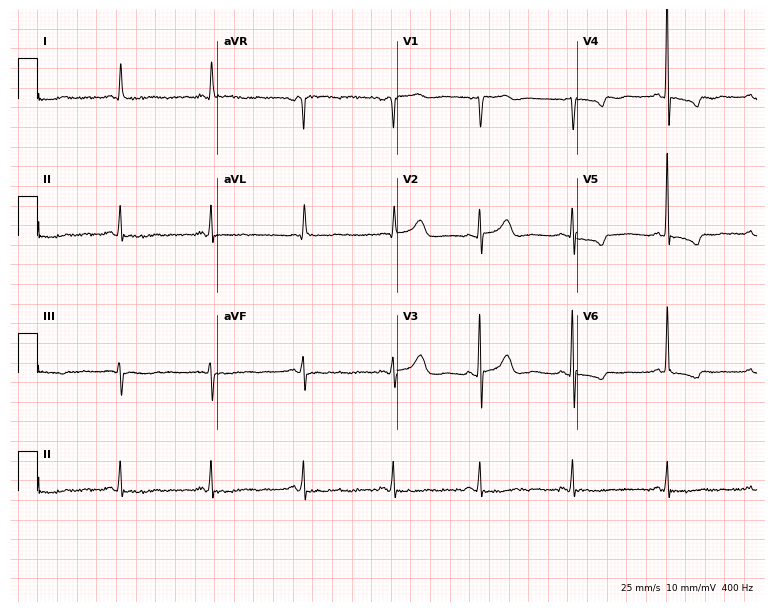
12-lead ECG from a 72-year-old female. Recorded interpretation: within normal limits.